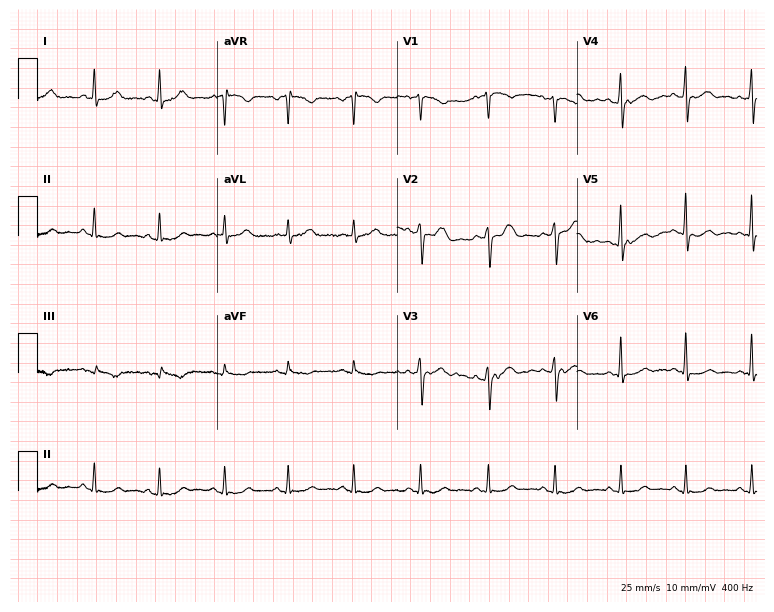
Resting 12-lead electrocardiogram. Patient: a woman, 52 years old. None of these six findings is recorded: first-degree AV block, right bundle branch block, left bundle branch block, sinus bradycardia, atrial fibrillation, sinus tachycardia. Only these six findings were labelled.